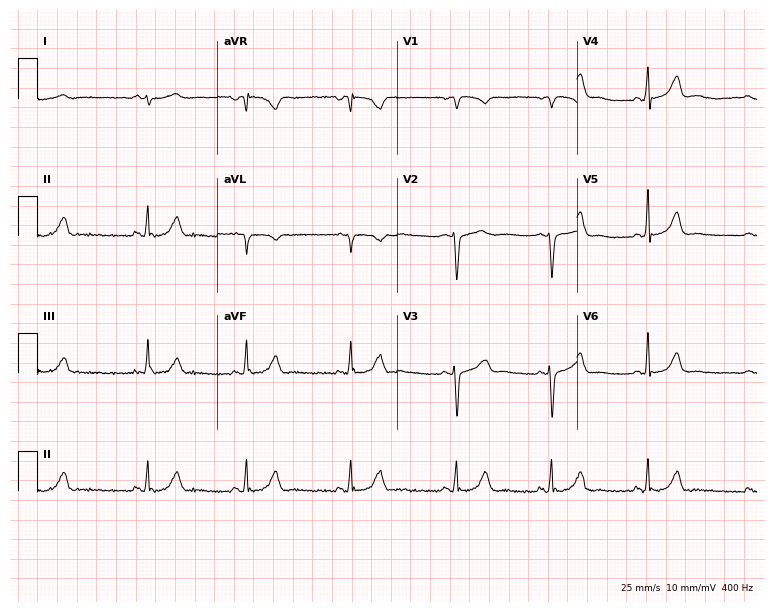
12-lead ECG from a 29-year-old female (7.3-second recording at 400 Hz). No first-degree AV block, right bundle branch block (RBBB), left bundle branch block (LBBB), sinus bradycardia, atrial fibrillation (AF) or sinus tachycardia recorded for this tracing.